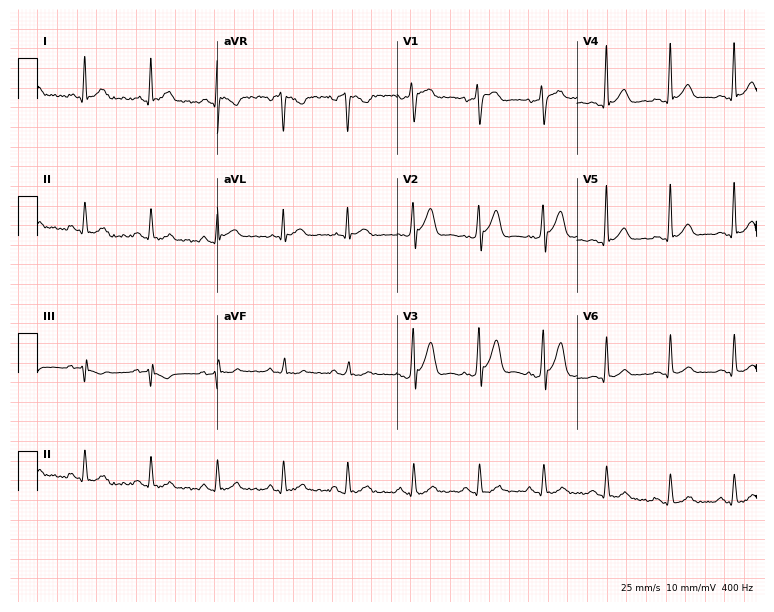
12-lead ECG from a male, 50 years old. No first-degree AV block, right bundle branch block, left bundle branch block, sinus bradycardia, atrial fibrillation or sinus tachycardia recorded for this tracing.